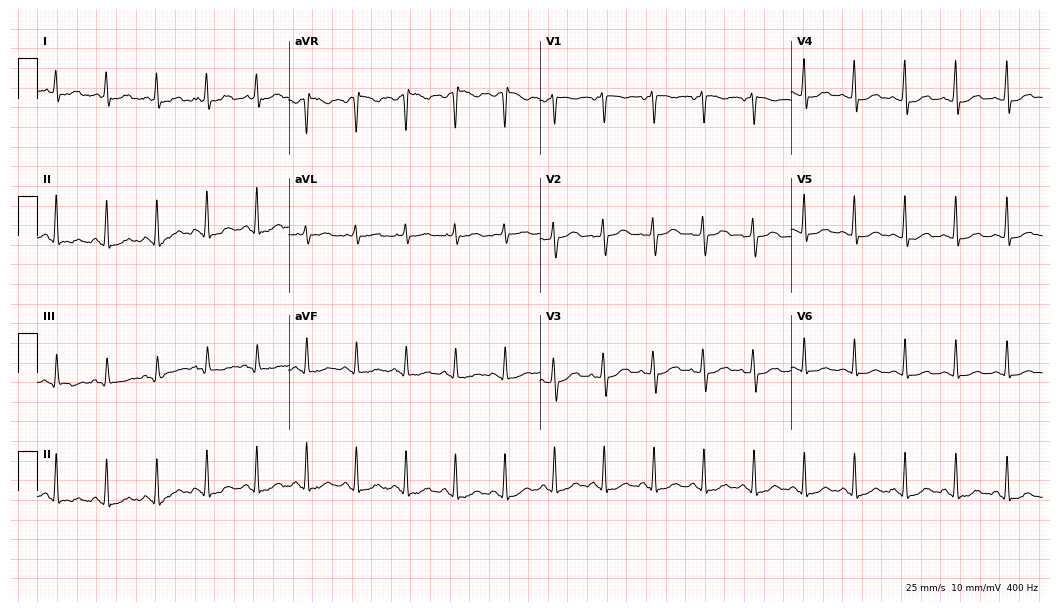
ECG (10.2-second recording at 400 Hz) — a female, 41 years old. Findings include sinus tachycardia (a sinus rate of 100 beats per minute or more).